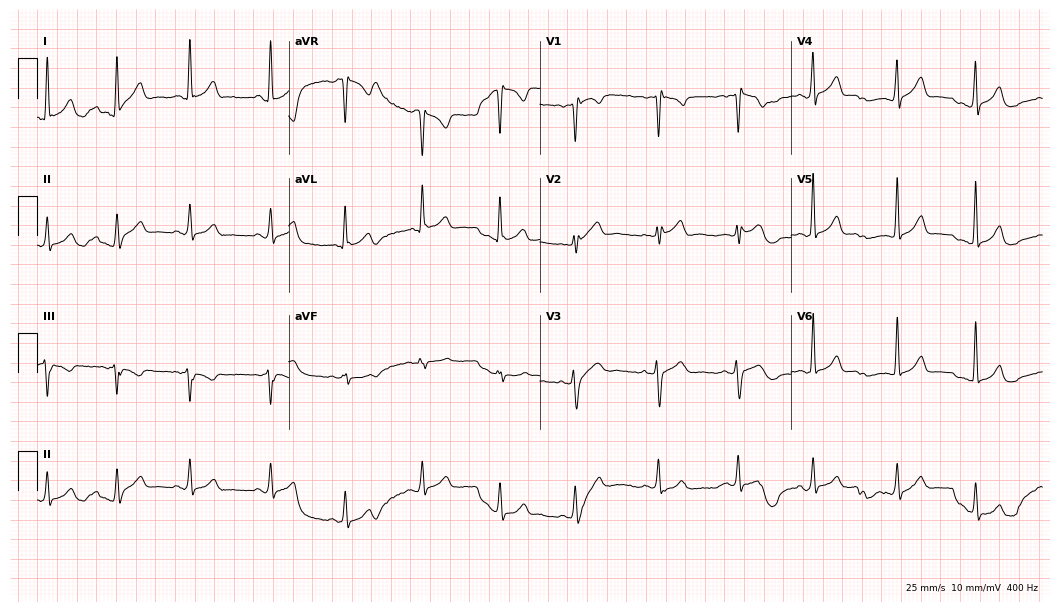
Resting 12-lead electrocardiogram. Patient: a man, 28 years old. None of these six findings is recorded: first-degree AV block, right bundle branch block, left bundle branch block, sinus bradycardia, atrial fibrillation, sinus tachycardia. Findings outside these six are not listed.